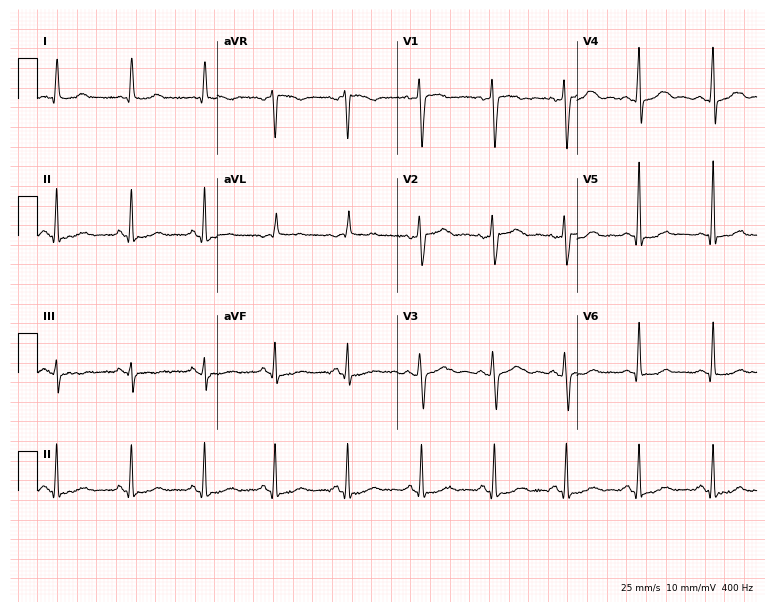
12-lead ECG from a female patient, 52 years old. Recorded interpretation: within normal limits.